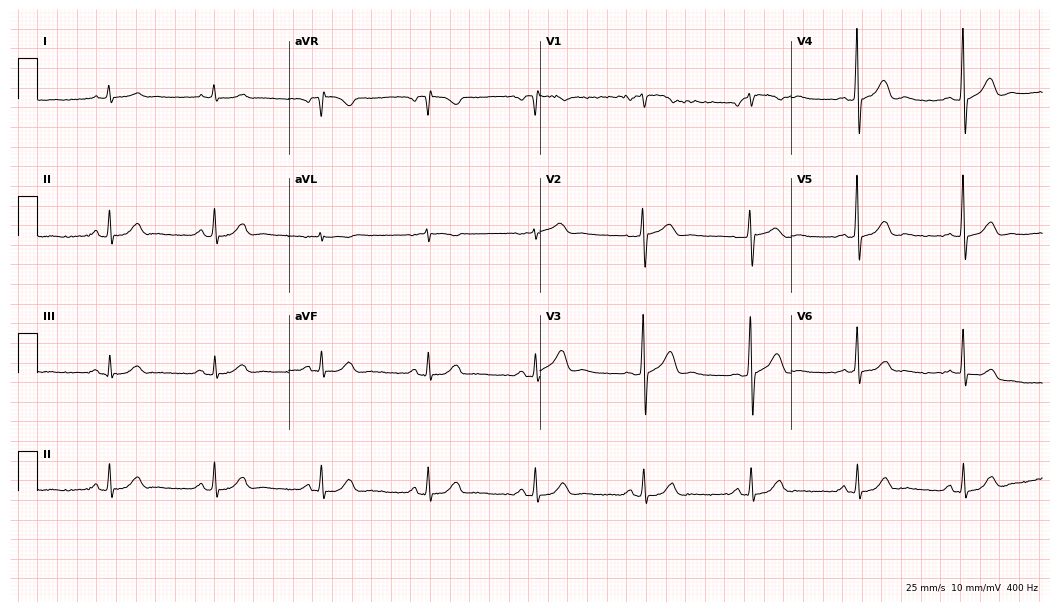
ECG — a male, 67 years old. Labelled as a normal ECG.